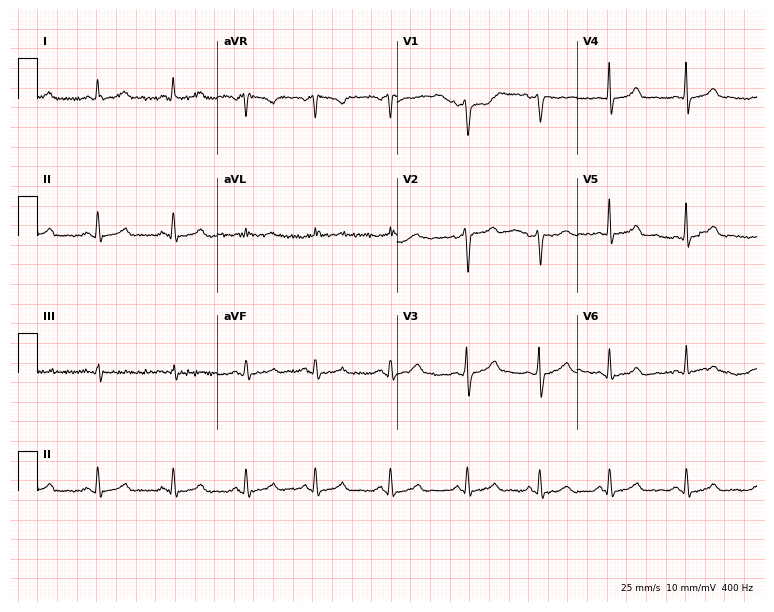
Standard 12-lead ECG recorded from a 44-year-old female. Read as a normal ECG.